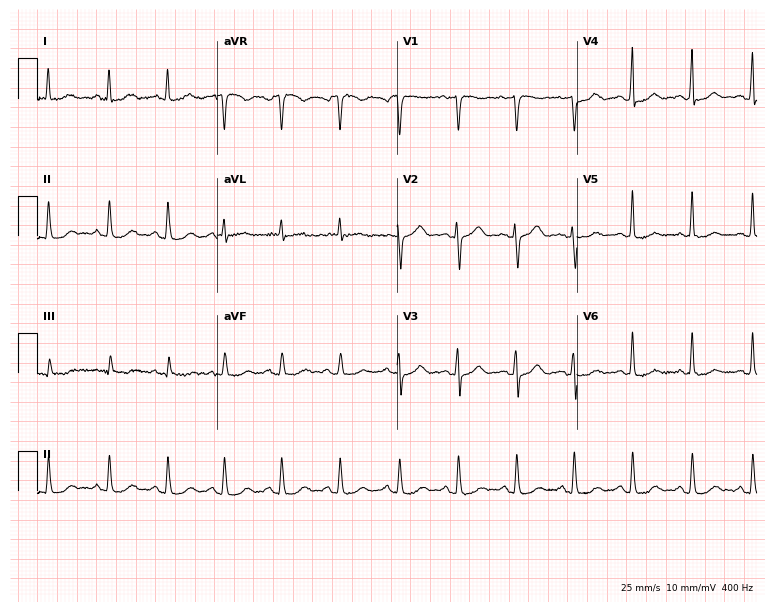
Electrocardiogram (7.3-second recording at 400 Hz), a 50-year-old female patient. Of the six screened findings (first-degree AV block, right bundle branch block (RBBB), left bundle branch block (LBBB), sinus bradycardia, atrial fibrillation (AF), sinus tachycardia), none is recorded.